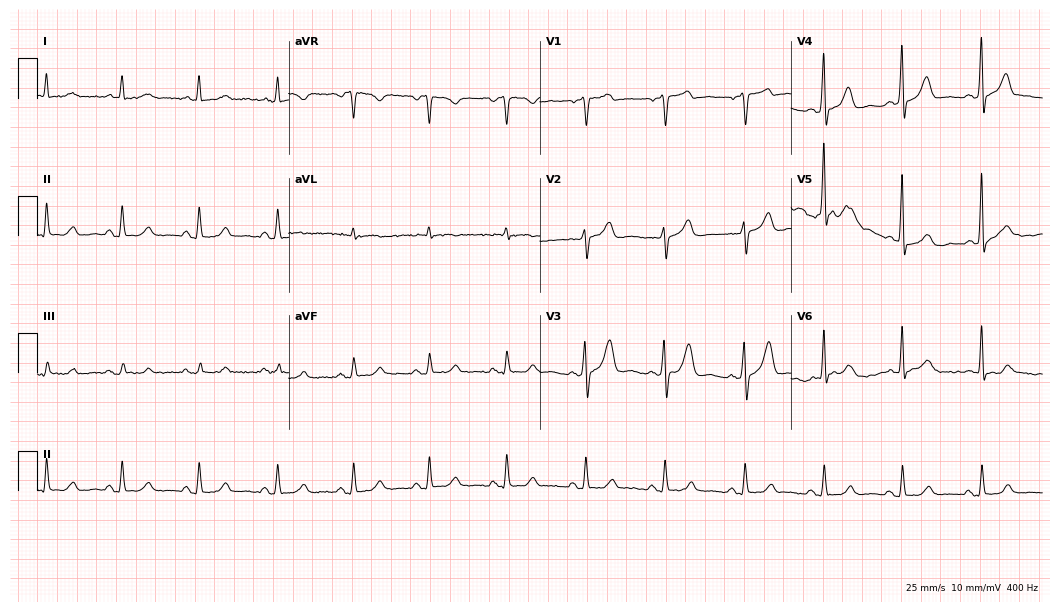
12-lead ECG from a male, 42 years old. Recorded interpretation: within normal limits.